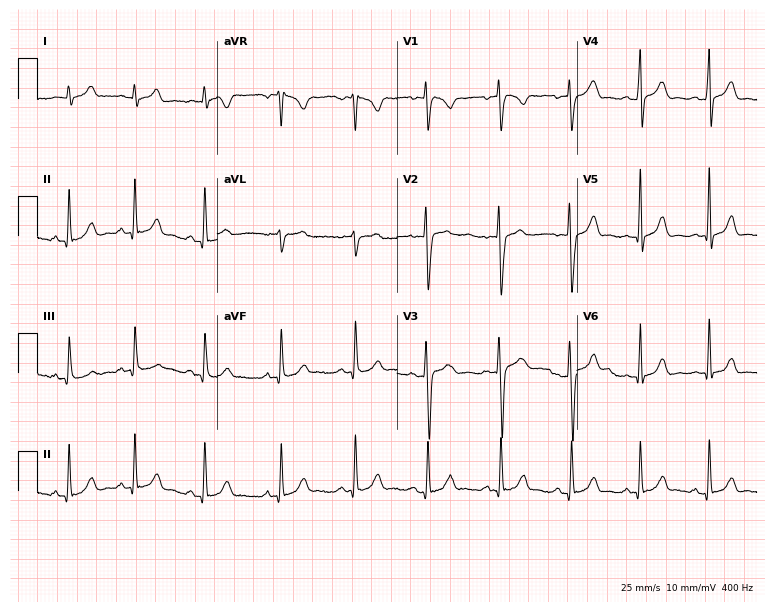
12-lead ECG from a male, 26 years old. Recorded interpretation: within normal limits.